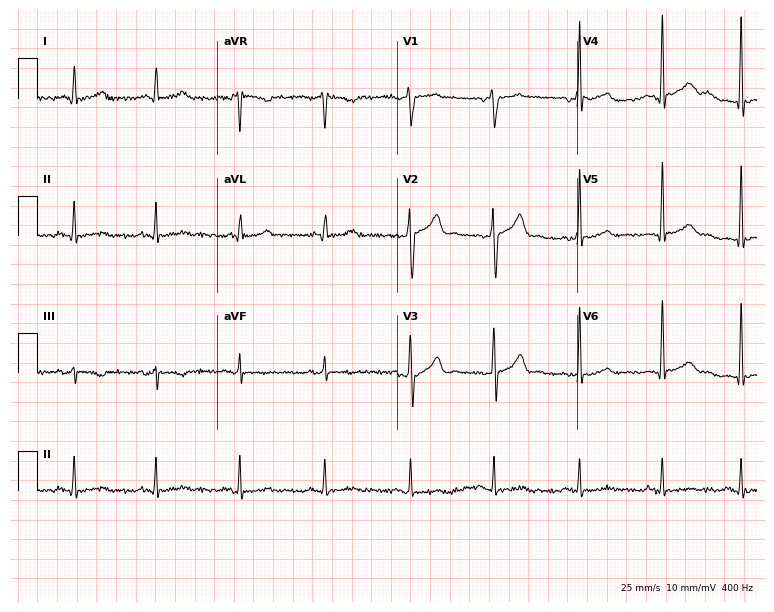
ECG — a 52-year-old male patient. Screened for six findings — first-degree AV block, right bundle branch block (RBBB), left bundle branch block (LBBB), sinus bradycardia, atrial fibrillation (AF), sinus tachycardia — none is recorded. Findings outside these six are not listed.